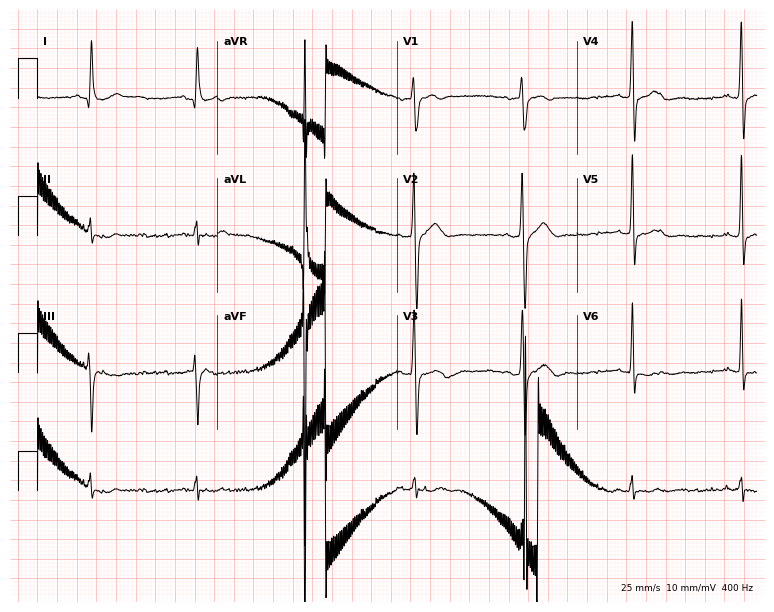
Electrocardiogram (7.3-second recording at 400 Hz), a male, 66 years old. Of the six screened findings (first-degree AV block, right bundle branch block, left bundle branch block, sinus bradycardia, atrial fibrillation, sinus tachycardia), none is recorded.